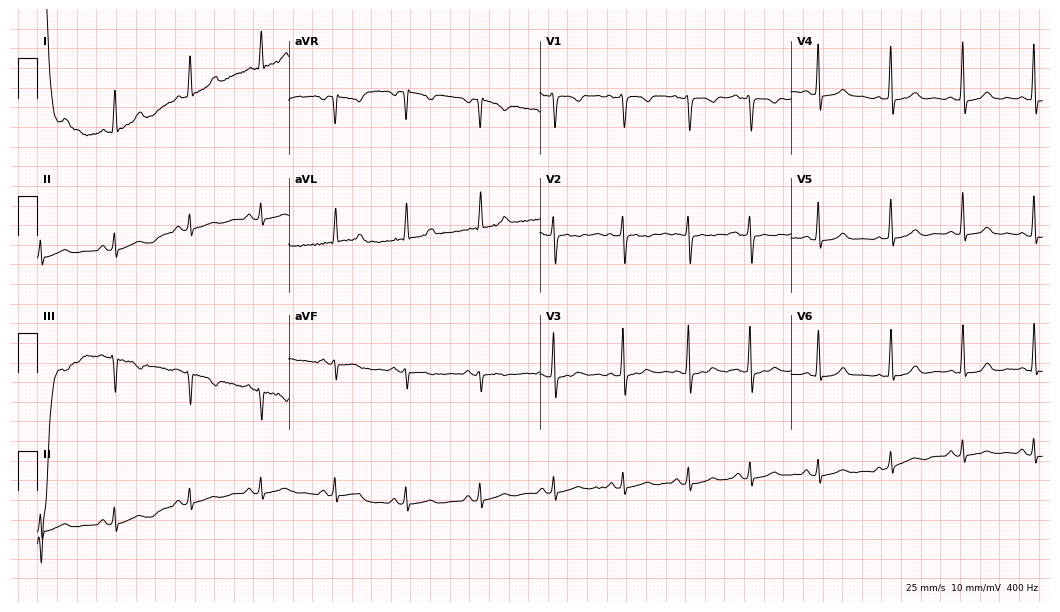
Standard 12-lead ECG recorded from a 41-year-old female patient. None of these six findings is recorded: first-degree AV block, right bundle branch block (RBBB), left bundle branch block (LBBB), sinus bradycardia, atrial fibrillation (AF), sinus tachycardia.